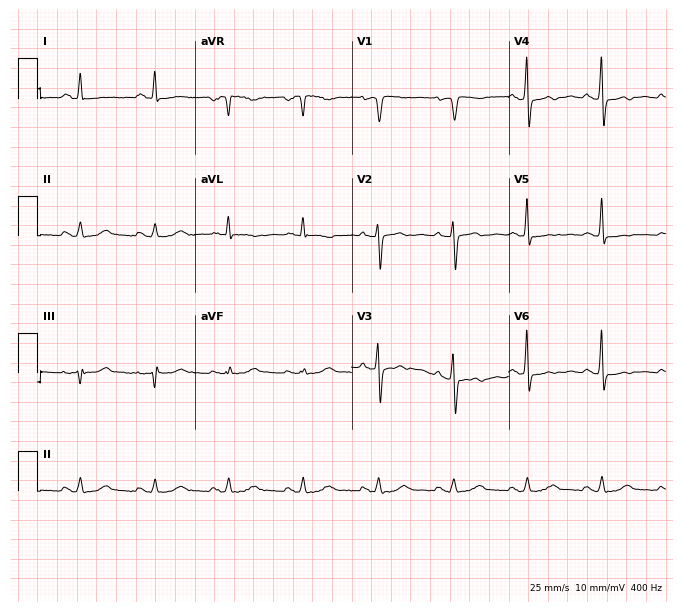
Standard 12-lead ECG recorded from a 54-year-old female. Read as a normal ECG.